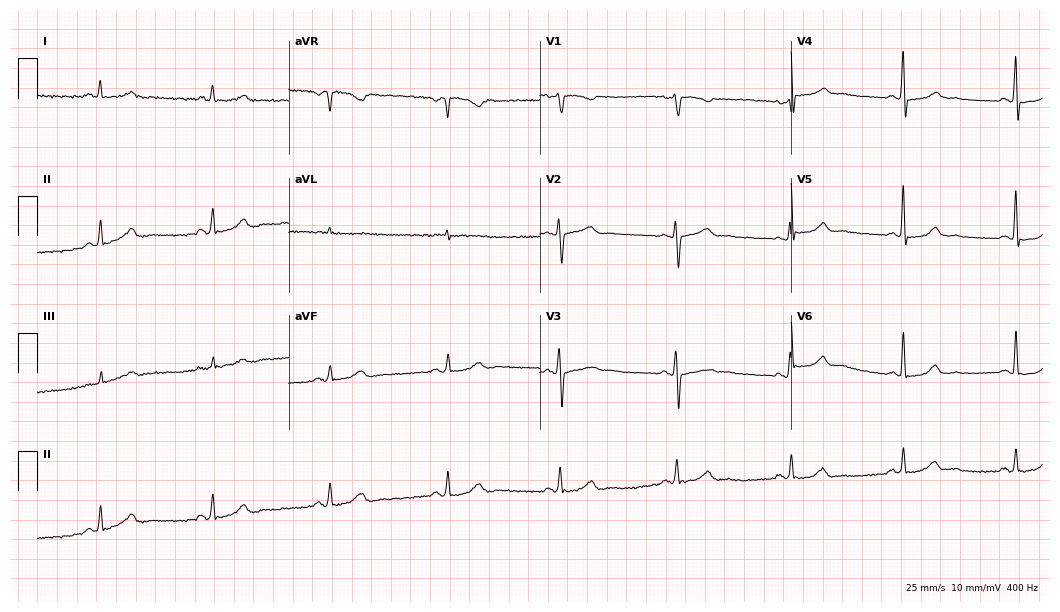
Electrocardiogram (10.2-second recording at 400 Hz), a 41-year-old female. Of the six screened findings (first-degree AV block, right bundle branch block, left bundle branch block, sinus bradycardia, atrial fibrillation, sinus tachycardia), none is recorded. Other findings, if any, are not listed.